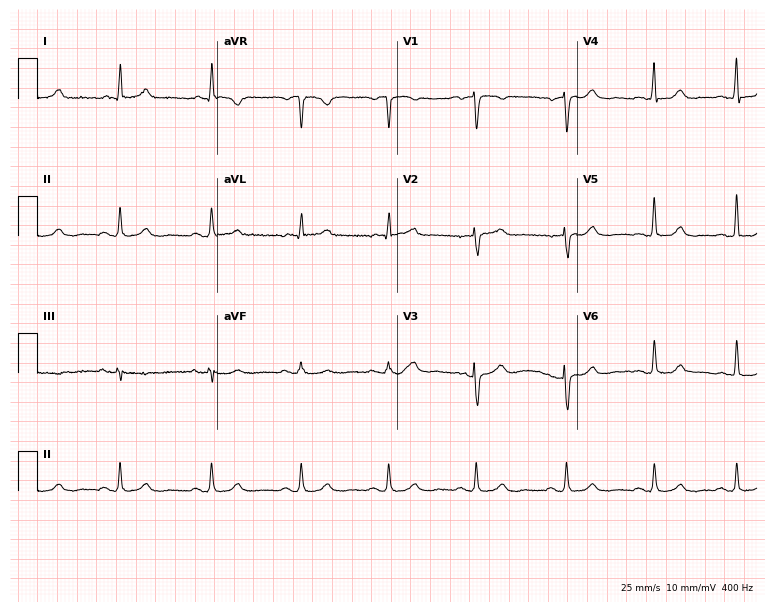
Electrocardiogram, a 69-year-old female. Overall reading on record: normal ECG.